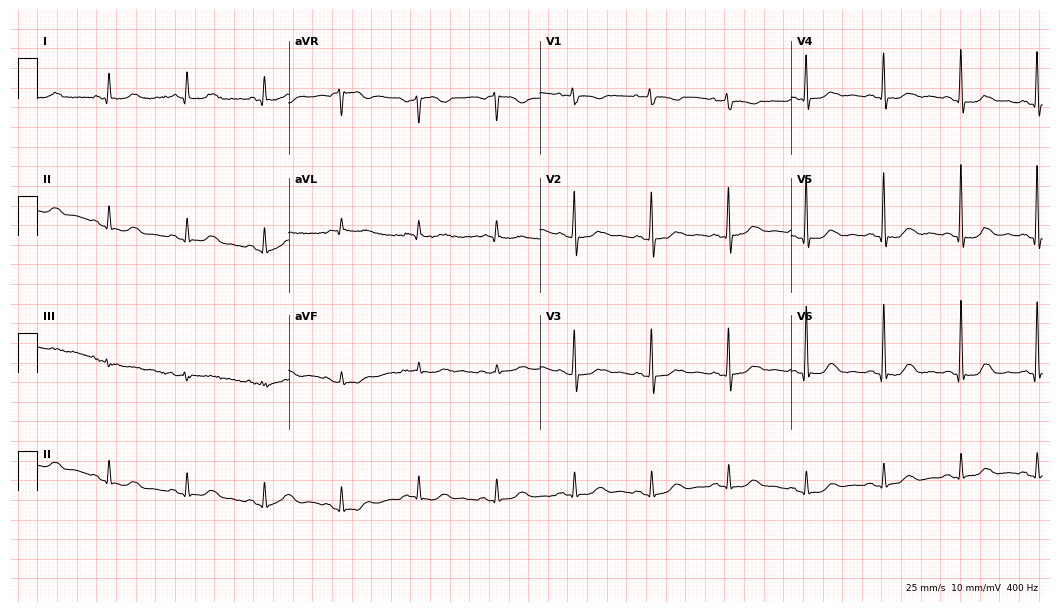
Resting 12-lead electrocardiogram (10.2-second recording at 400 Hz). Patient: a female, 77 years old. None of these six findings is recorded: first-degree AV block, right bundle branch block, left bundle branch block, sinus bradycardia, atrial fibrillation, sinus tachycardia.